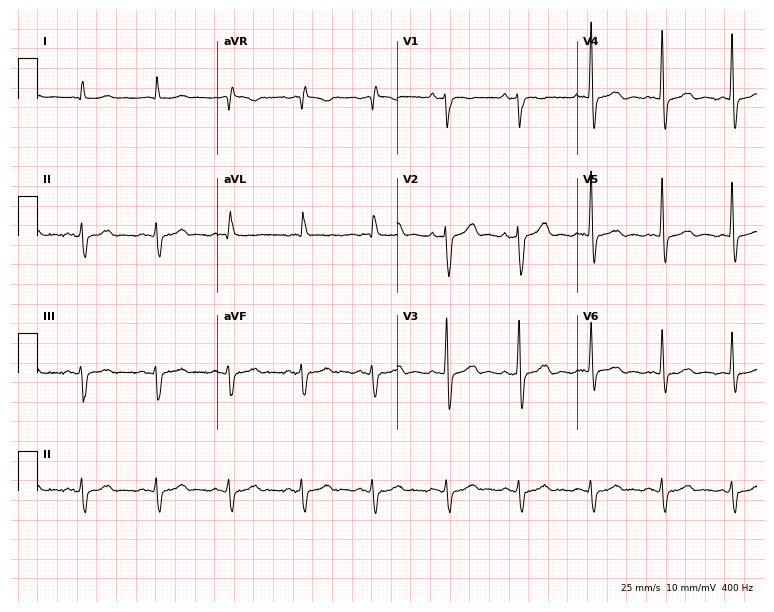
ECG — a 77-year-old male patient. Screened for six findings — first-degree AV block, right bundle branch block, left bundle branch block, sinus bradycardia, atrial fibrillation, sinus tachycardia — none is recorded. Findings outside these six are not listed.